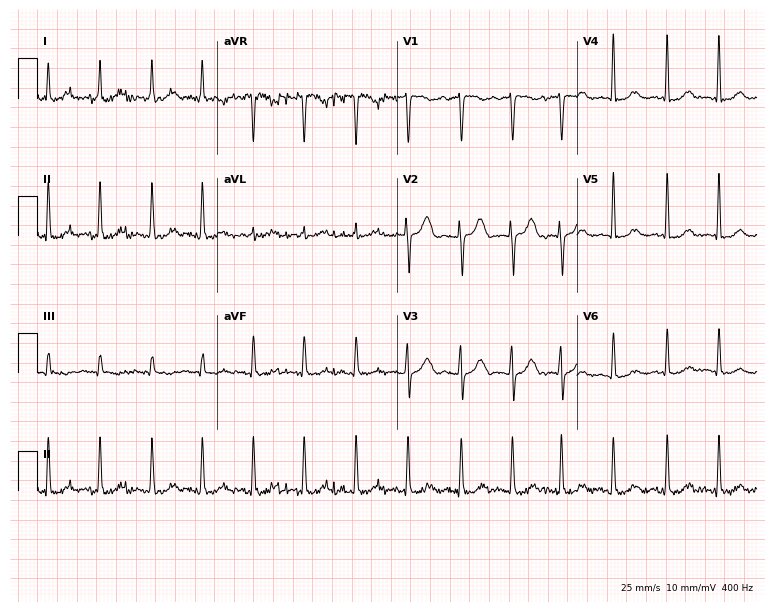
Resting 12-lead electrocardiogram. Patient: a woman, 84 years old. None of these six findings is recorded: first-degree AV block, right bundle branch block, left bundle branch block, sinus bradycardia, atrial fibrillation, sinus tachycardia.